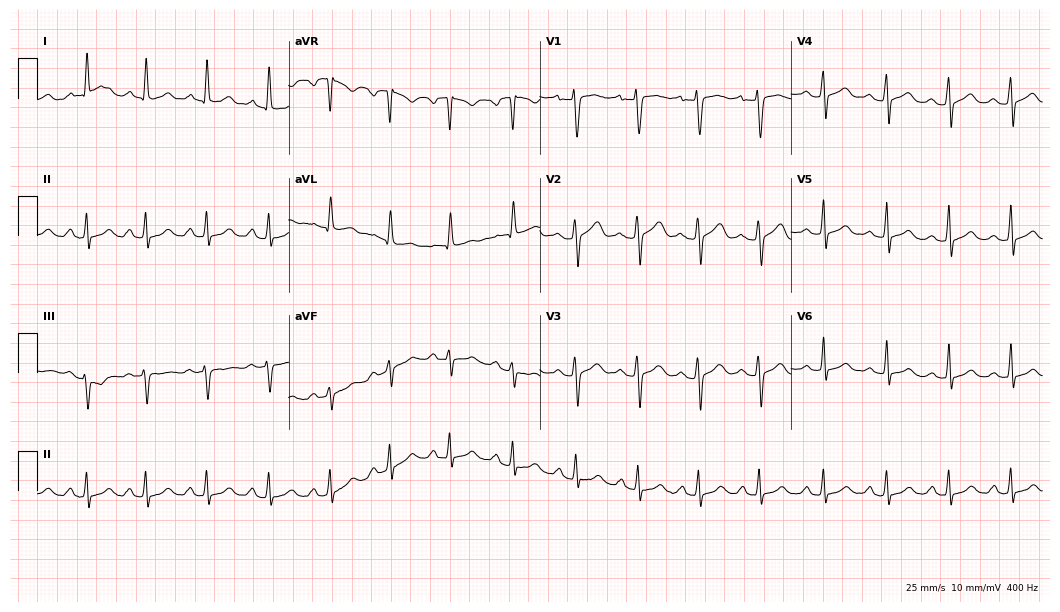
ECG — a female patient, 29 years old. Labelled as a normal ECG.